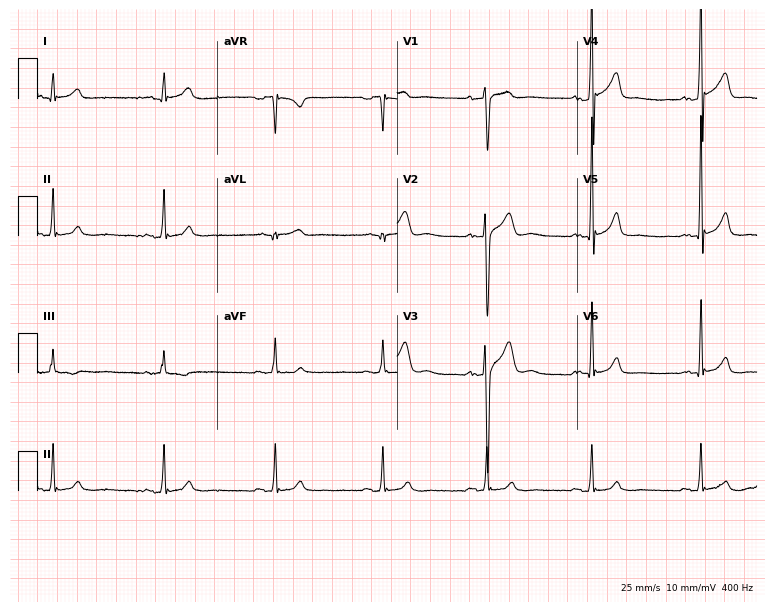
Standard 12-lead ECG recorded from a 22-year-old man (7.3-second recording at 400 Hz). None of these six findings is recorded: first-degree AV block, right bundle branch block (RBBB), left bundle branch block (LBBB), sinus bradycardia, atrial fibrillation (AF), sinus tachycardia. Only these six findings were labelled.